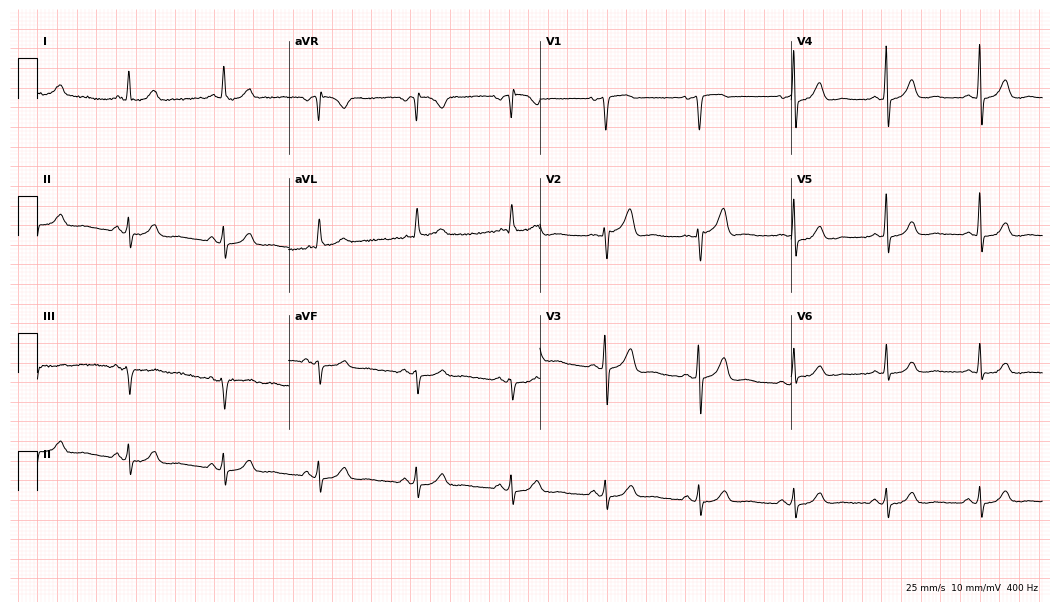
12-lead ECG from a male, 66 years old. Recorded interpretation: within normal limits.